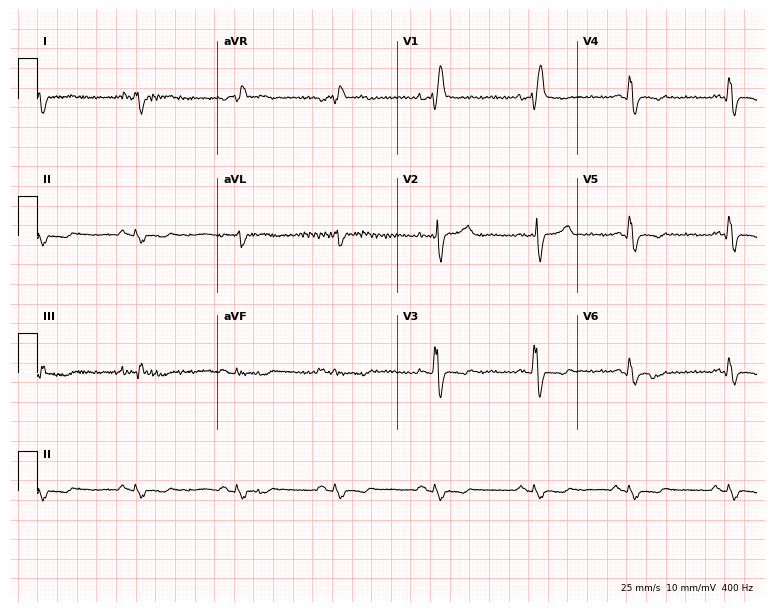
12-lead ECG (7.3-second recording at 400 Hz) from a 63-year-old male. Findings include right bundle branch block, sinus bradycardia (a sinus rate of 50 beats per minute or less).